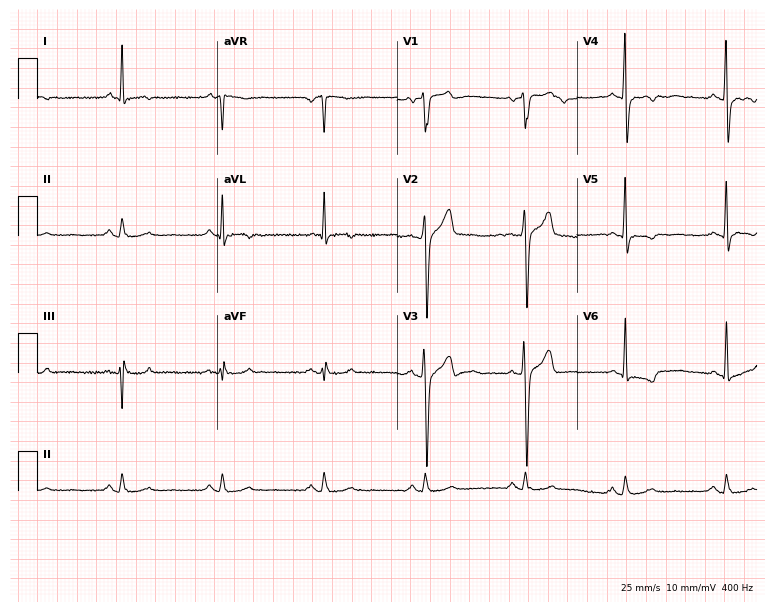
12-lead ECG from a male patient, 51 years old. No first-degree AV block, right bundle branch block, left bundle branch block, sinus bradycardia, atrial fibrillation or sinus tachycardia recorded for this tracing. Only these six findings were labelled.